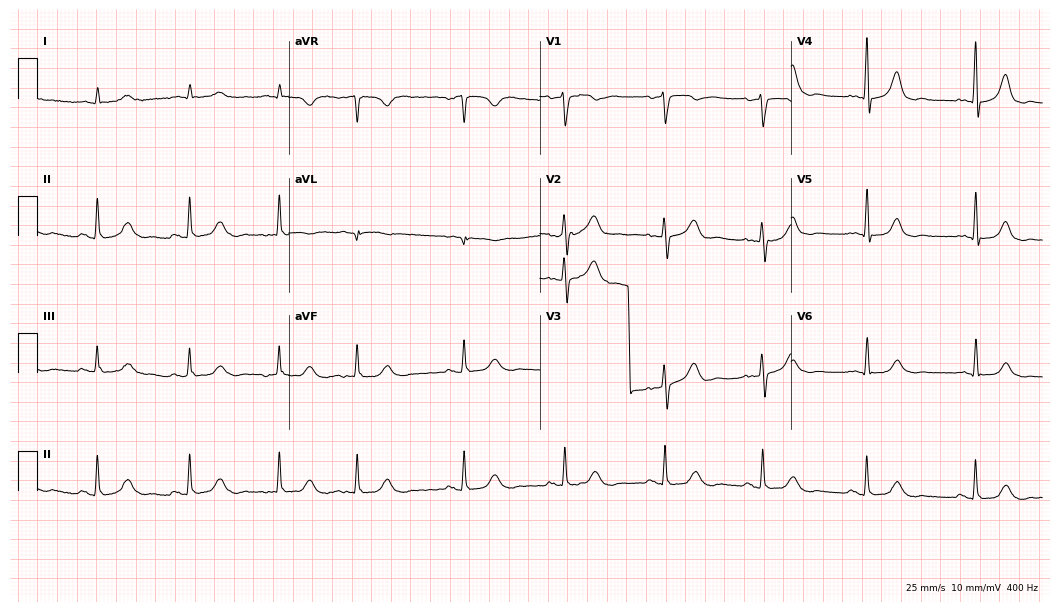
12-lead ECG (10.2-second recording at 400 Hz) from a male, 84 years old. Labelled as a normal ECG.